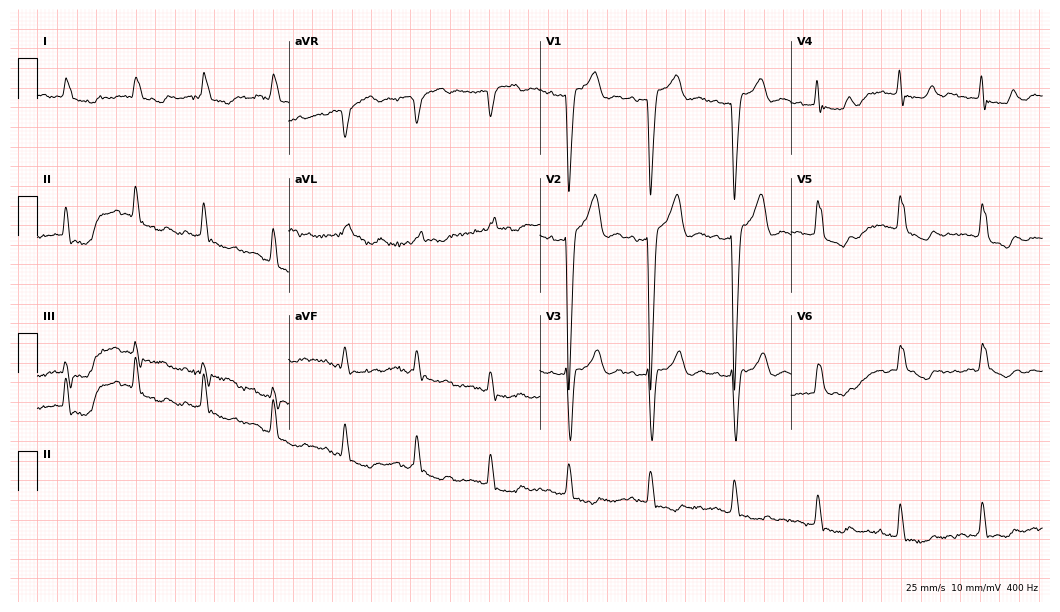
ECG — a 41-year-old female. Findings include left bundle branch block (LBBB), atrial fibrillation (AF).